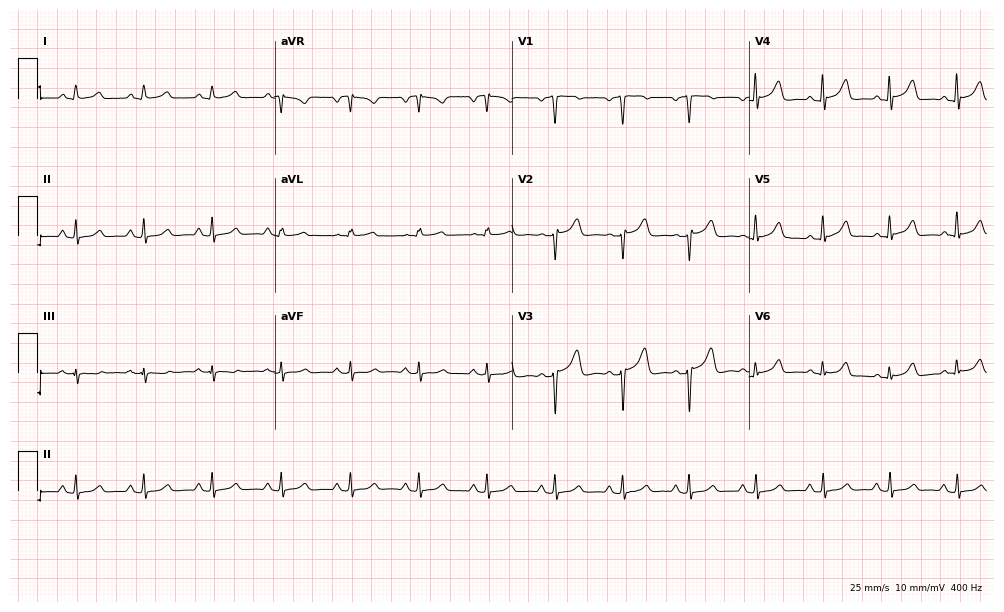
Standard 12-lead ECG recorded from a 42-year-old female. Read as a normal ECG.